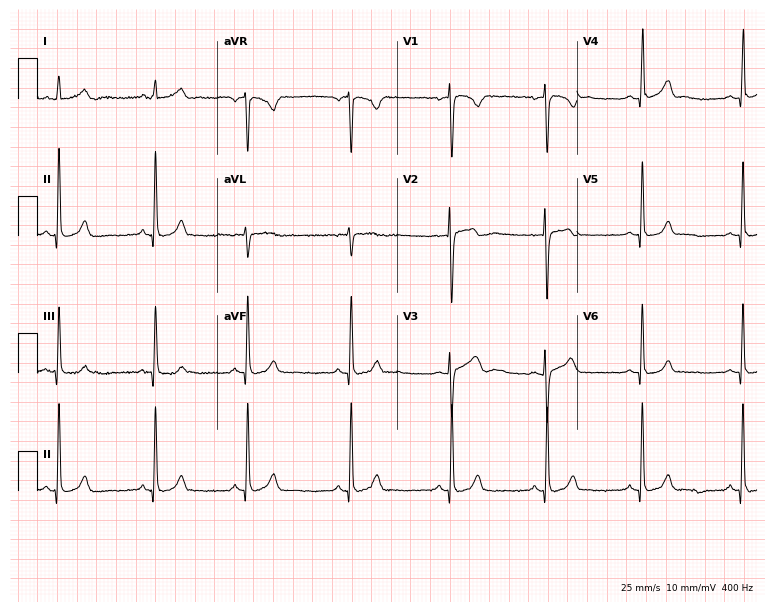
Resting 12-lead electrocardiogram (7.3-second recording at 400 Hz). Patient: a 21-year-old female. None of these six findings is recorded: first-degree AV block, right bundle branch block, left bundle branch block, sinus bradycardia, atrial fibrillation, sinus tachycardia. Other findings, if any, are not listed.